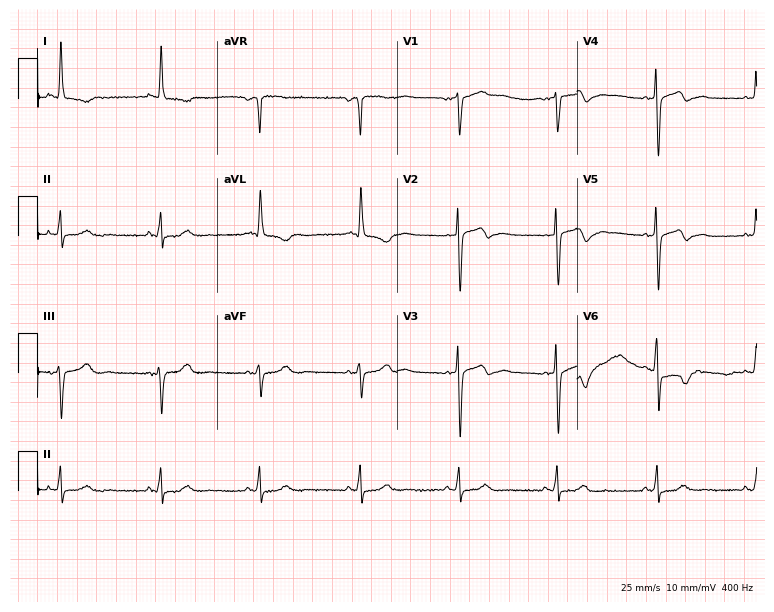
12-lead ECG from an 83-year-old male patient (7.3-second recording at 400 Hz). No first-degree AV block, right bundle branch block, left bundle branch block, sinus bradycardia, atrial fibrillation or sinus tachycardia recorded for this tracing. Other findings, if any, are not listed.